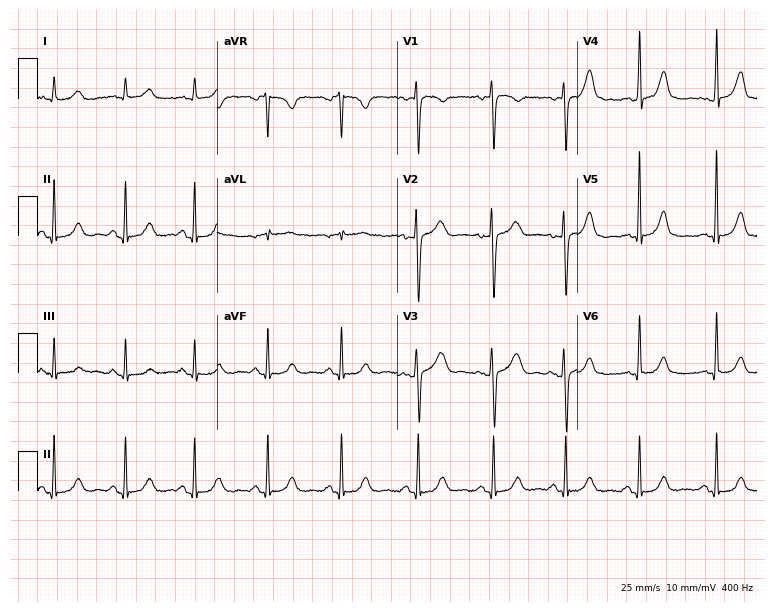
12-lead ECG from a female patient, 34 years old (7.3-second recording at 400 Hz). Recorded interpretation: within normal limits.